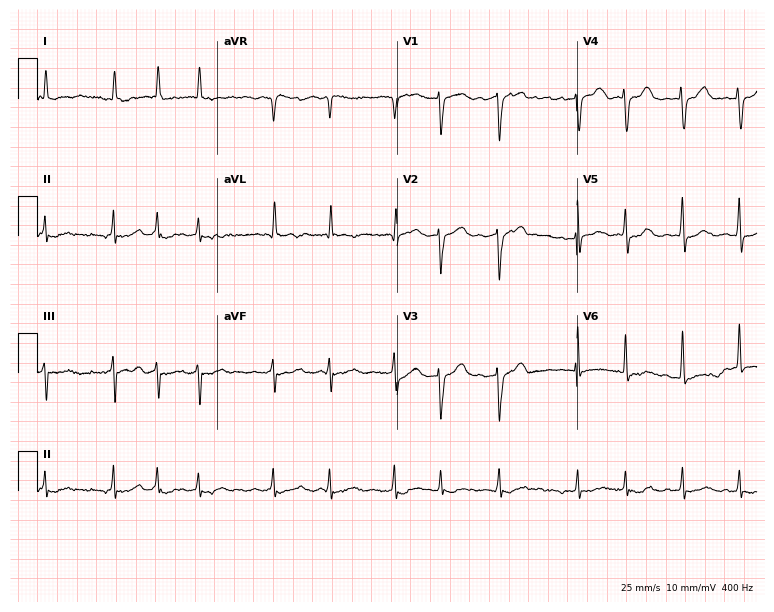
Standard 12-lead ECG recorded from a female patient, 73 years old. The tracing shows atrial fibrillation.